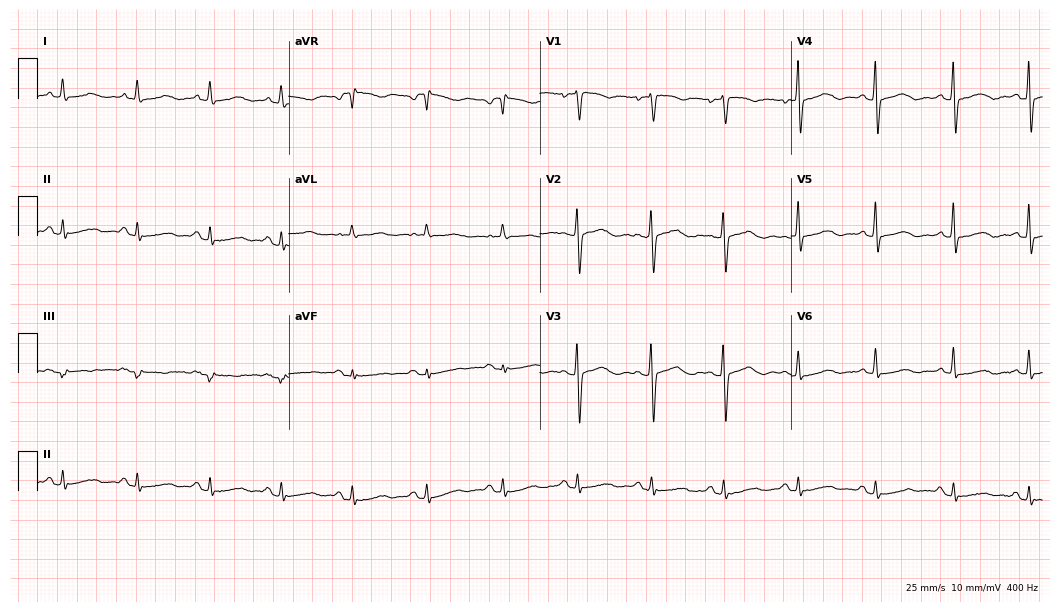
Resting 12-lead electrocardiogram. Patient: a 75-year-old female. Read as a normal ECG.